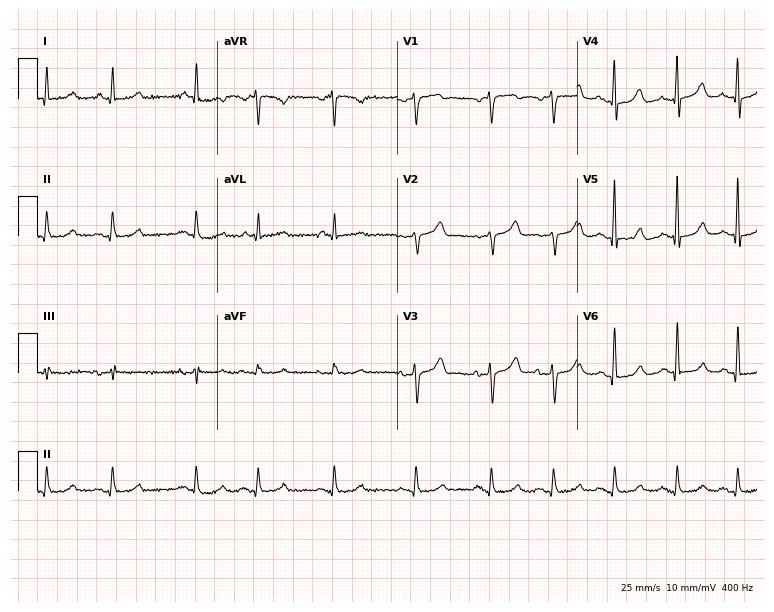
Standard 12-lead ECG recorded from a 75-year-old man. None of these six findings is recorded: first-degree AV block, right bundle branch block, left bundle branch block, sinus bradycardia, atrial fibrillation, sinus tachycardia.